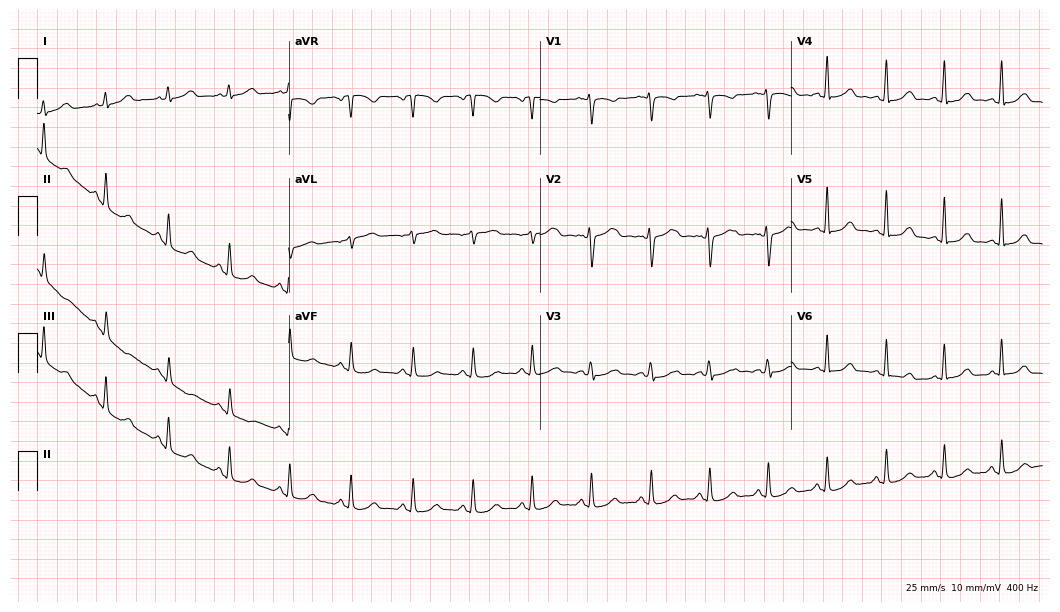
12-lead ECG from a 31-year-old female (10.2-second recording at 400 Hz). Recorded interpretation: within normal limits.